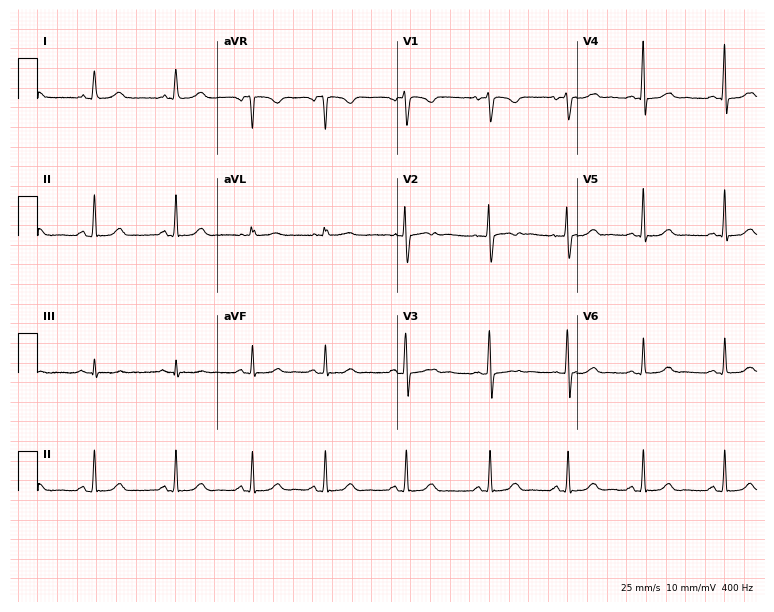
12-lead ECG from a 31-year-old female. No first-degree AV block, right bundle branch block (RBBB), left bundle branch block (LBBB), sinus bradycardia, atrial fibrillation (AF) or sinus tachycardia recorded for this tracing.